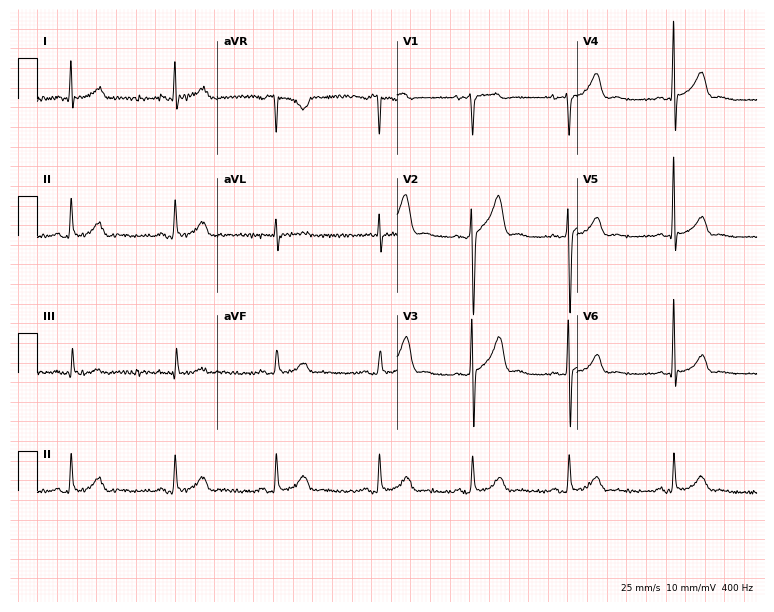
Standard 12-lead ECG recorded from a 64-year-old male (7.3-second recording at 400 Hz). None of these six findings is recorded: first-degree AV block, right bundle branch block, left bundle branch block, sinus bradycardia, atrial fibrillation, sinus tachycardia. Other findings, if any, are not listed.